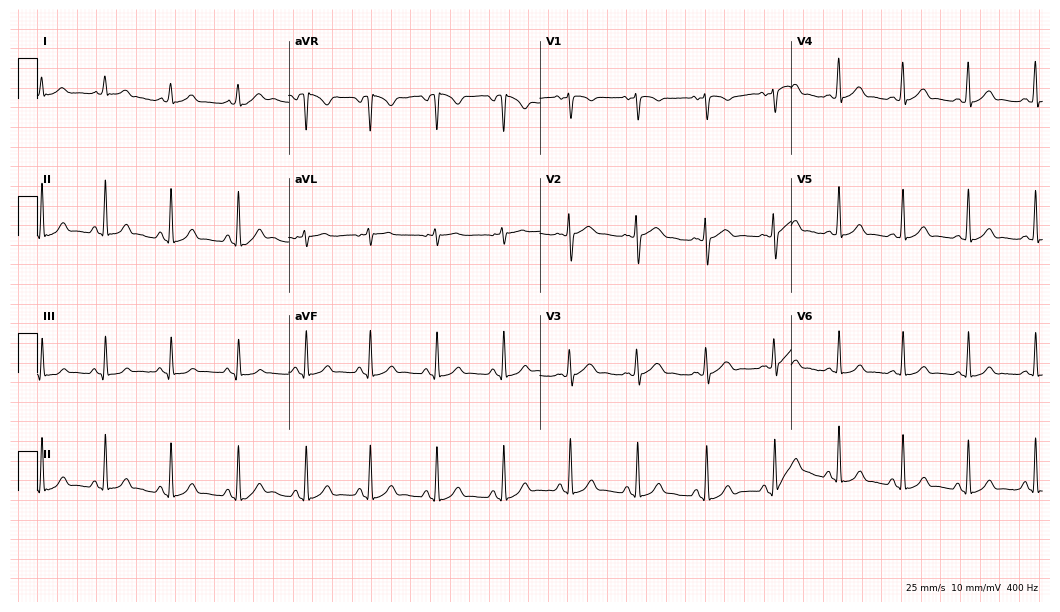
12-lead ECG from a 23-year-old female. No first-degree AV block, right bundle branch block (RBBB), left bundle branch block (LBBB), sinus bradycardia, atrial fibrillation (AF) or sinus tachycardia recorded for this tracing. Other findings, if any, are not listed.